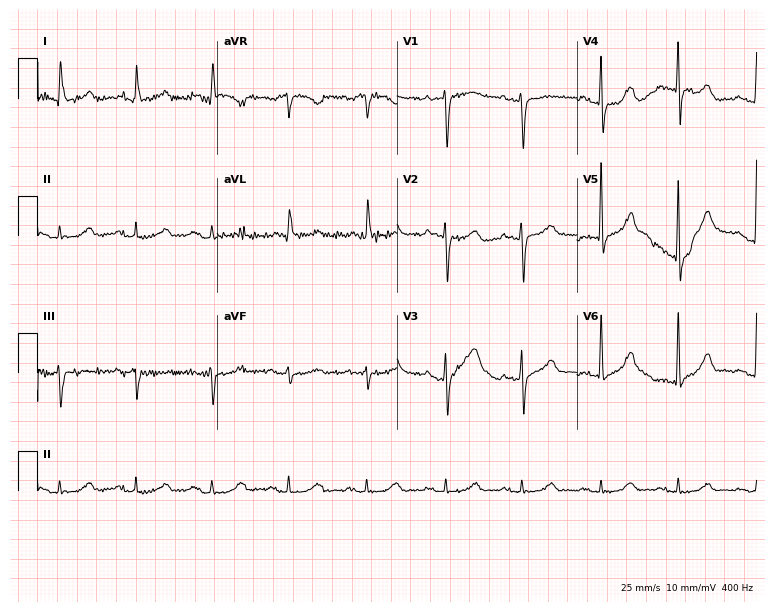
Electrocardiogram (7.3-second recording at 400 Hz), an 84-year-old woman. Of the six screened findings (first-degree AV block, right bundle branch block, left bundle branch block, sinus bradycardia, atrial fibrillation, sinus tachycardia), none is recorded. Only these six findings were labelled.